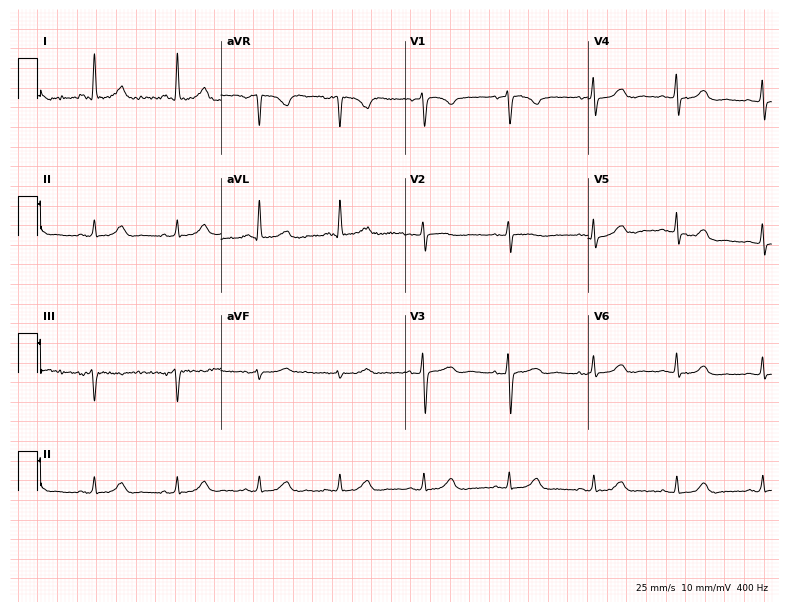
12-lead ECG from a 75-year-old woman. Labelled as a normal ECG.